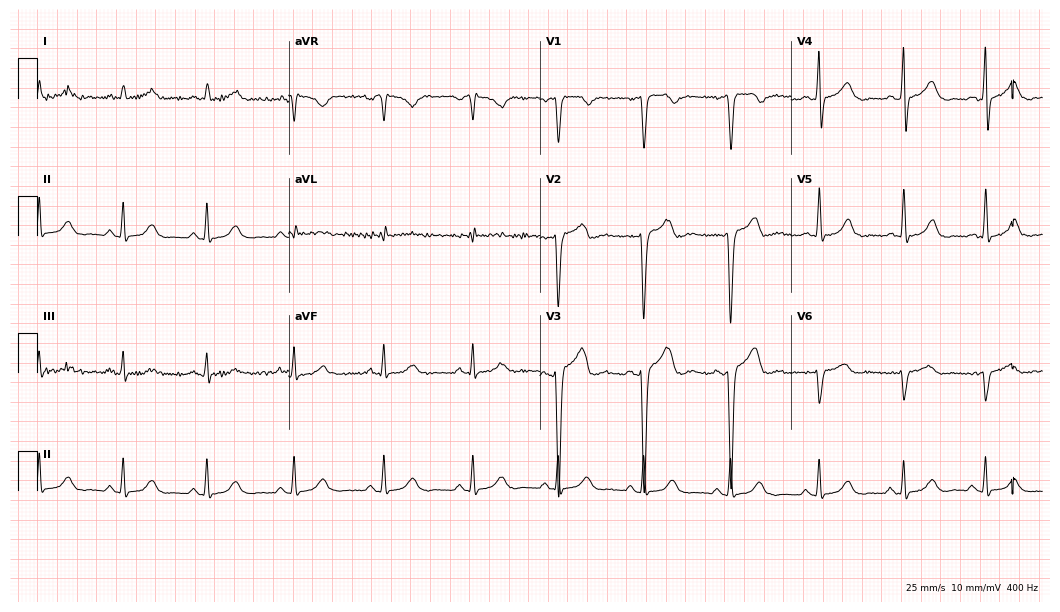
12-lead ECG from a 35-year-old man. Labelled as a normal ECG.